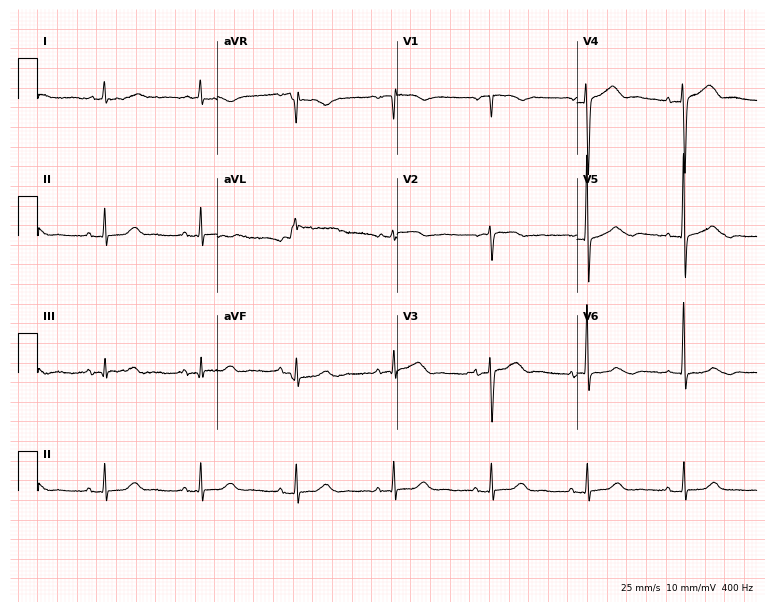
ECG — a female, 82 years old. Screened for six findings — first-degree AV block, right bundle branch block (RBBB), left bundle branch block (LBBB), sinus bradycardia, atrial fibrillation (AF), sinus tachycardia — none is recorded. Other findings, if any, are not listed.